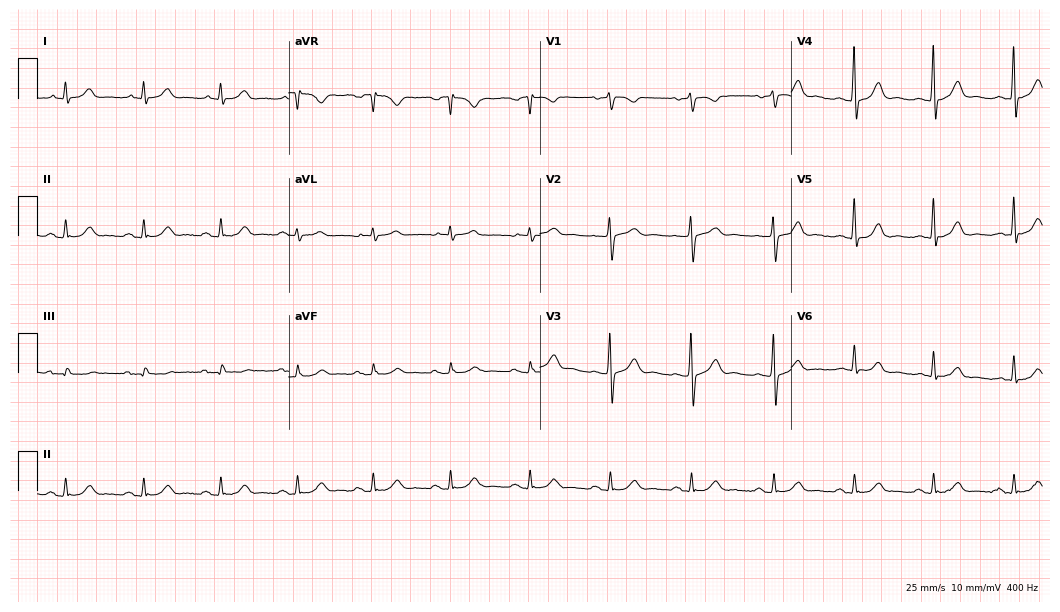
Standard 12-lead ECG recorded from a 67-year-old male patient. None of these six findings is recorded: first-degree AV block, right bundle branch block, left bundle branch block, sinus bradycardia, atrial fibrillation, sinus tachycardia. Only these six findings were labelled.